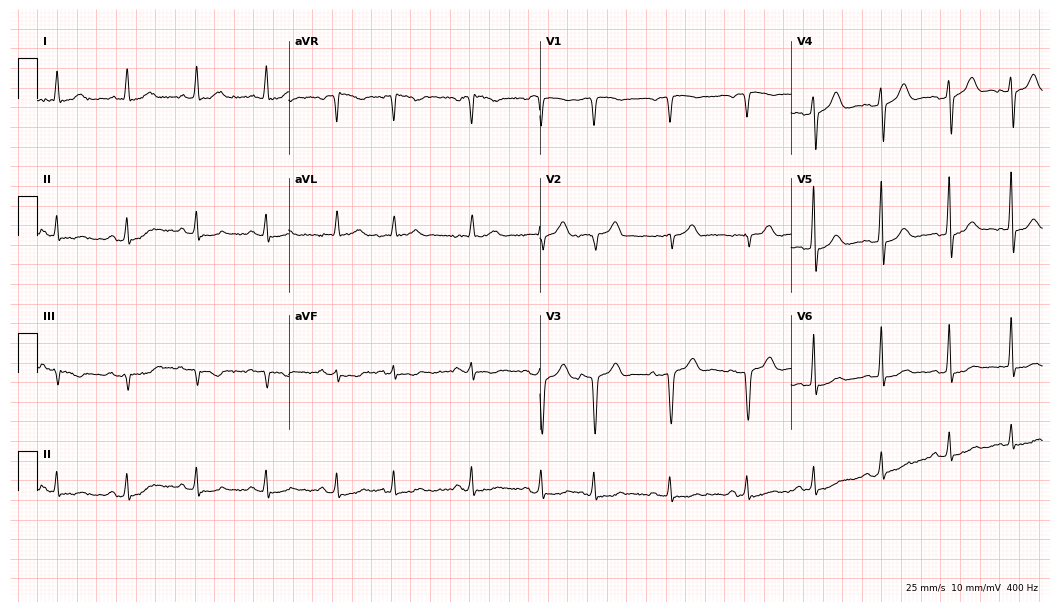
12-lead ECG from an 84-year-old woman. Recorded interpretation: within normal limits.